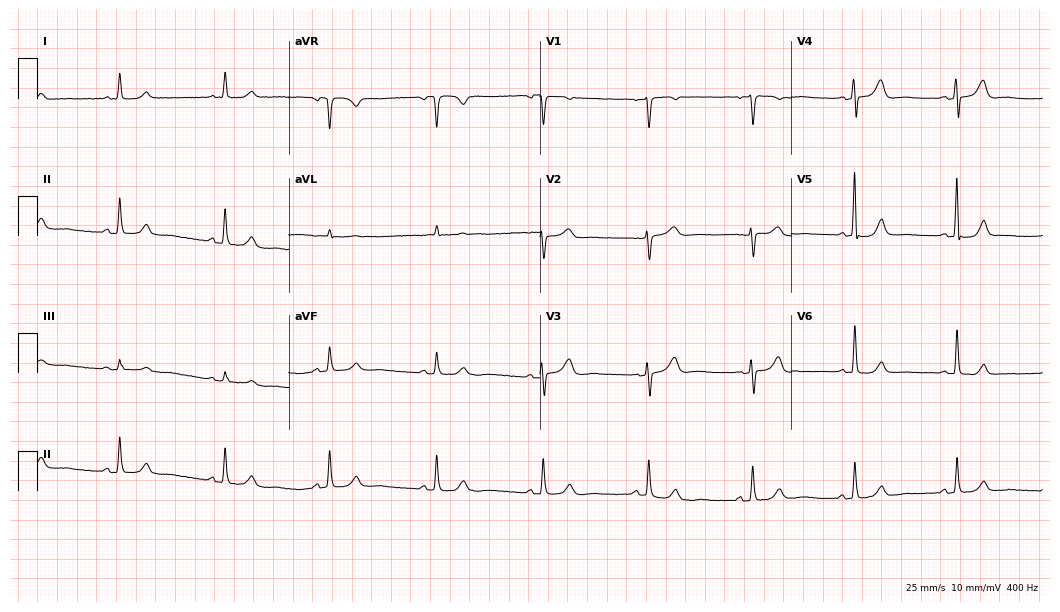
Electrocardiogram (10.2-second recording at 400 Hz), a 58-year-old female. Overall reading on record: normal ECG.